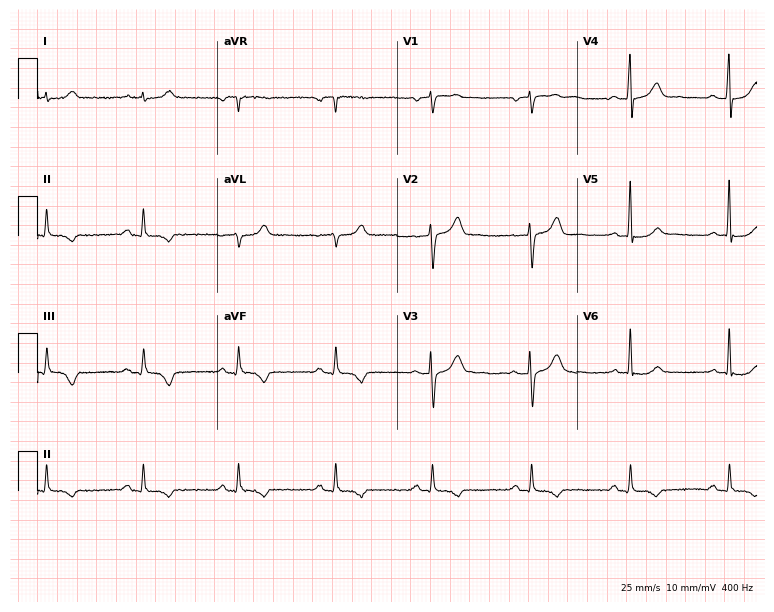
Electrocardiogram, a 59-year-old man. Of the six screened findings (first-degree AV block, right bundle branch block (RBBB), left bundle branch block (LBBB), sinus bradycardia, atrial fibrillation (AF), sinus tachycardia), none is recorded.